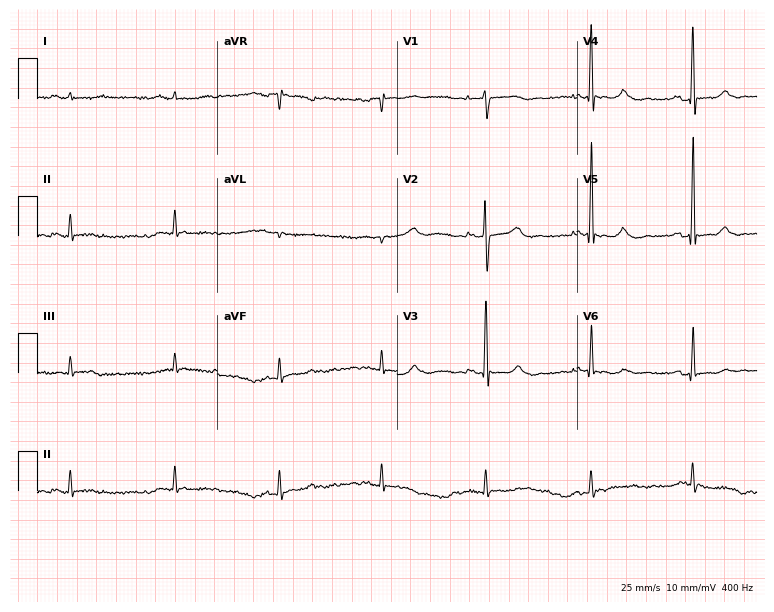
ECG — a woman, 38 years old. Labelled as a normal ECG.